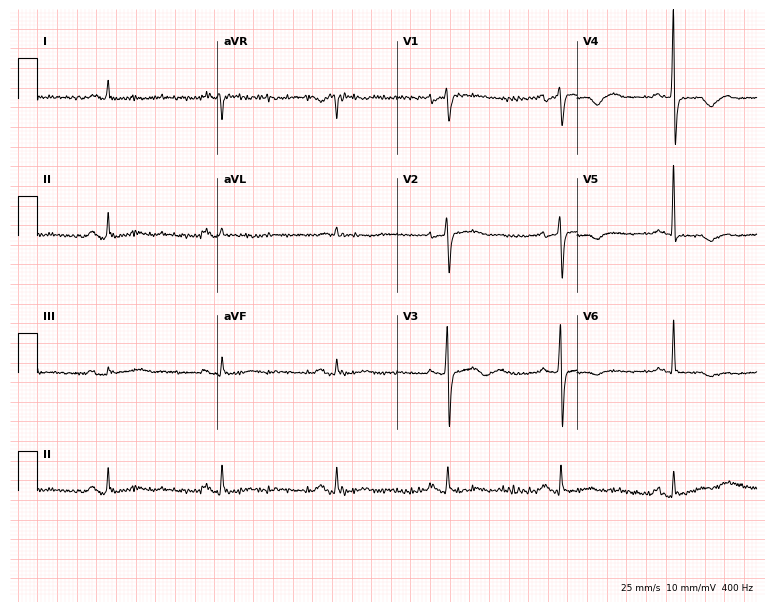
12-lead ECG from a female patient, 64 years old (7.3-second recording at 400 Hz). No first-degree AV block, right bundle branch block, left bundle branch block, sinus bradycardia, atrial fibrillation or sinus tachycardia recorded for this tracing.